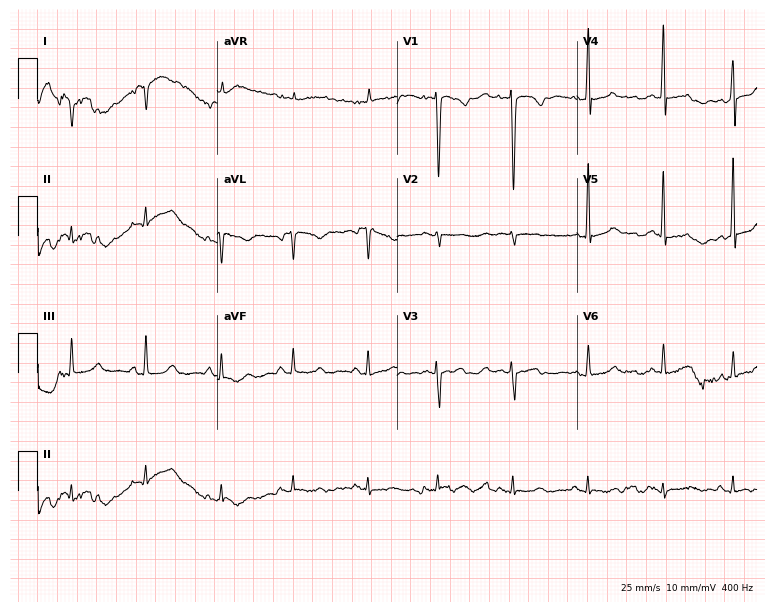
Standard 12-lead ECG recorded from a 66-year-old woman. Read as a normal ECG.